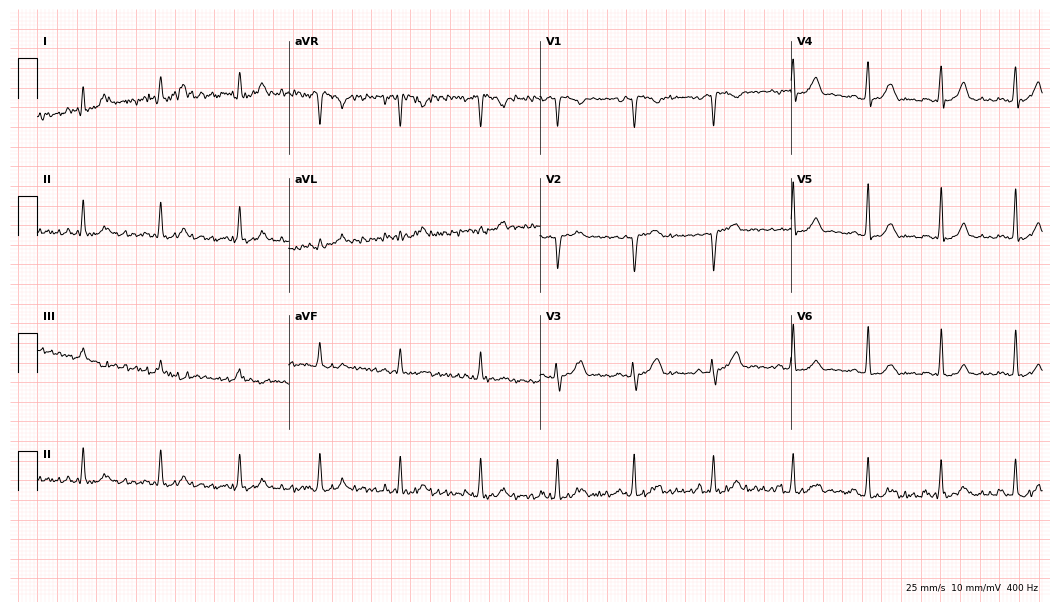
12-lead ECG from a 37-year-old female patient. Labelled as a normal ECG.